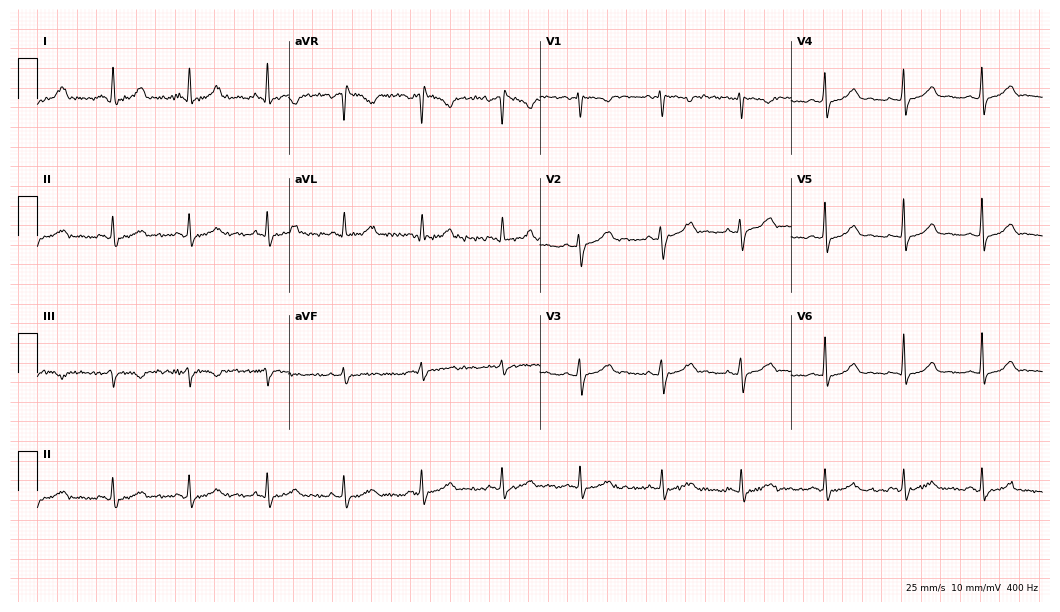
ECG (10.2-second recording at 400 Hz) — a woman, 27 years old. Labelled as a normal ECG.